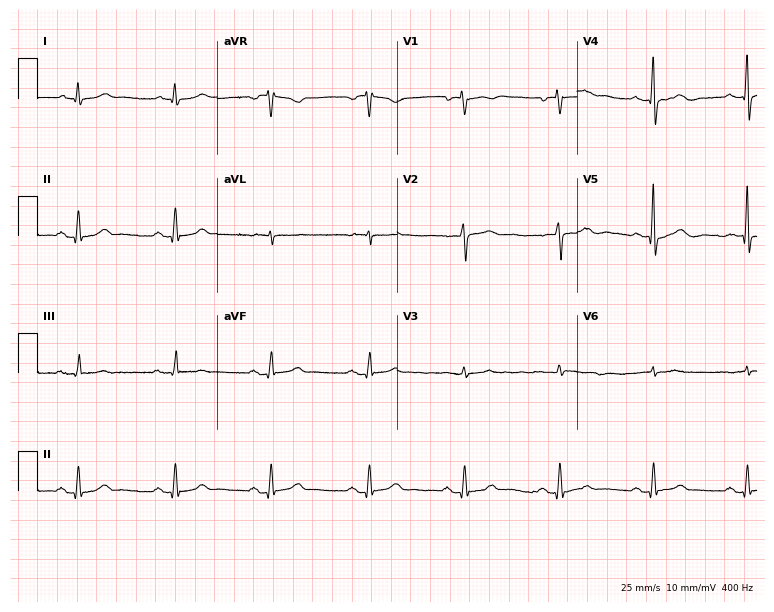
Standard 12-lead ECG recorded from a 76-year-old male patient (7.3-second recording at 400 Hz). Read as a normal ECG.